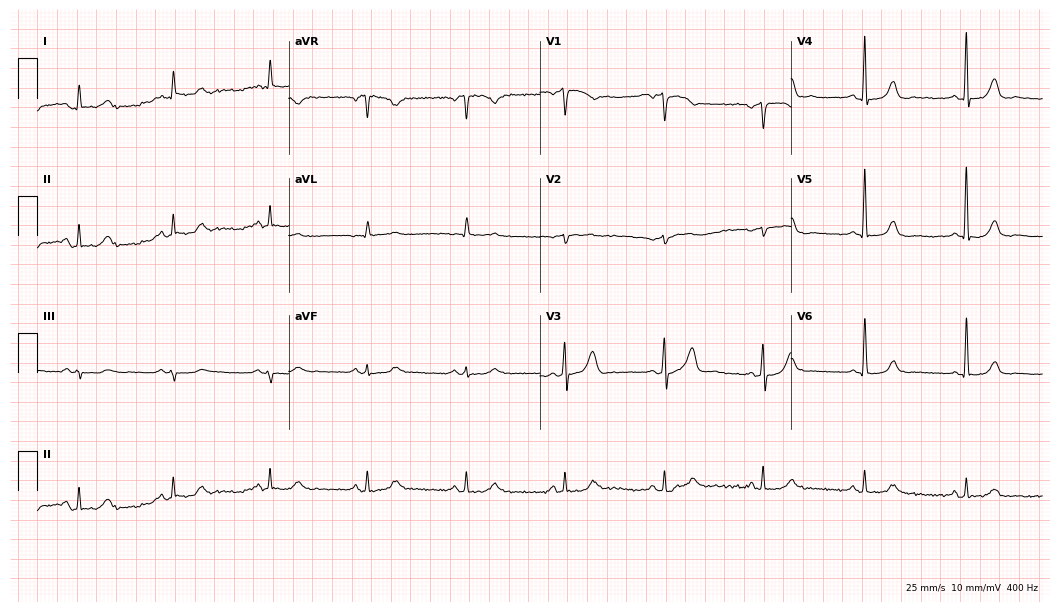
ECG — a 71-year-old male patient. Labelled as a normal ECG.